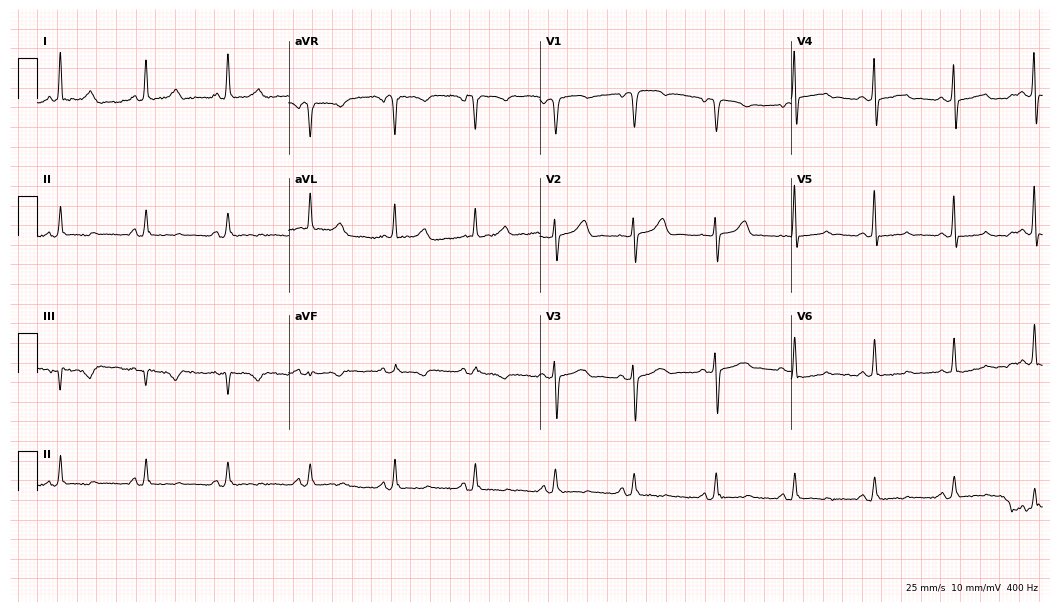
Electrocardiogram, a woman, 82 years old. Of the six screened findings (first-degree AV block, right bundle branch block (RBBB), left bundle branch block (LBBB), sinus bradycardia, atrial fibrillation (AF), sinus tachycardia), none is recorded.